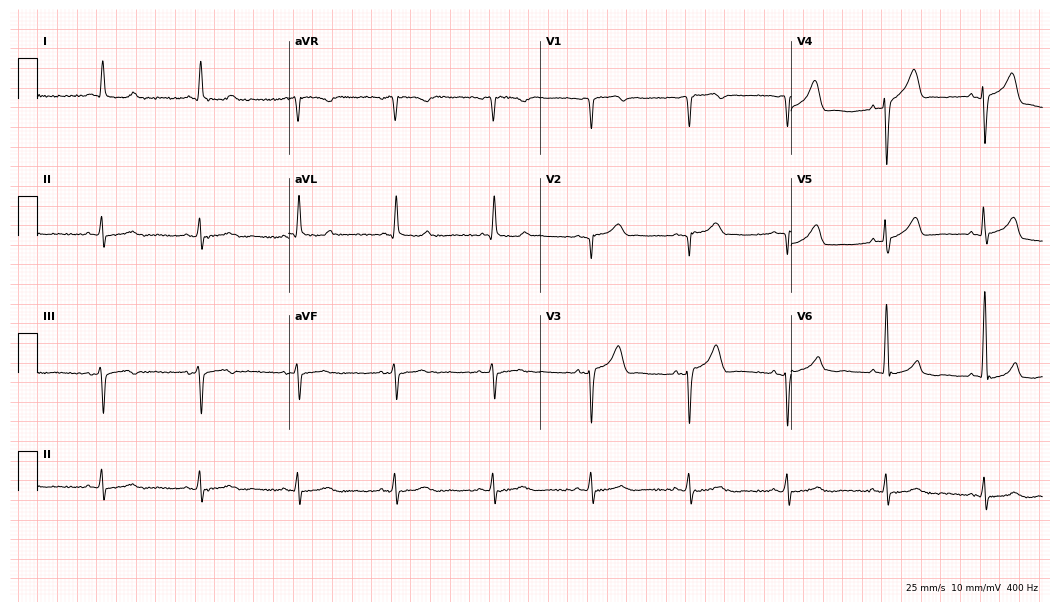
12-lead ECG from a 79-year-old female patient (10.2-second recording at 400 Hz). Recorded interpretation: within normal limits.